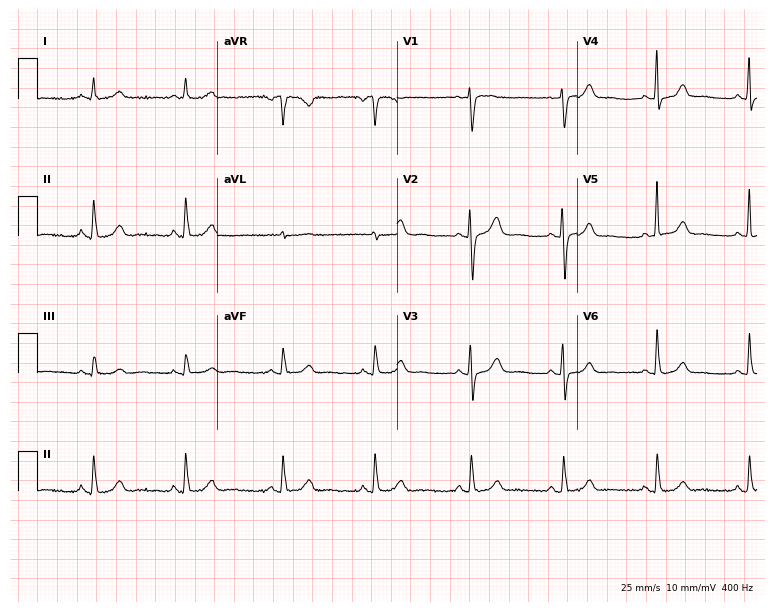
Resting 12-lead electrocardiogram (7.3-second recording at 400 Hz). Patient: an 83-year-old woman. Read as a normal ECG.